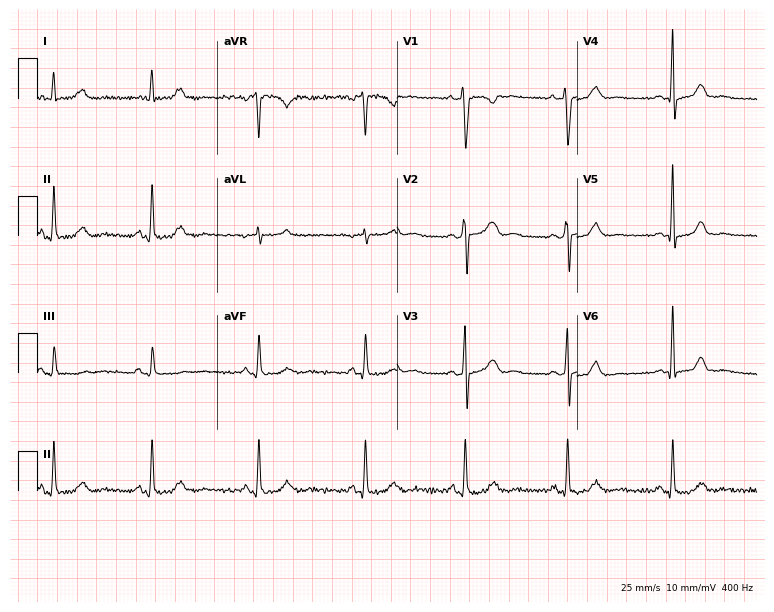
12-lead ECG from a 26-year-old female (7.3-second recording at 400 Hz). No first-degree AV block, right bundle branch block, left bundle branch block, sinus bradycardia, atrial fibrillation or sinus tachycardia recorded for this tracing.